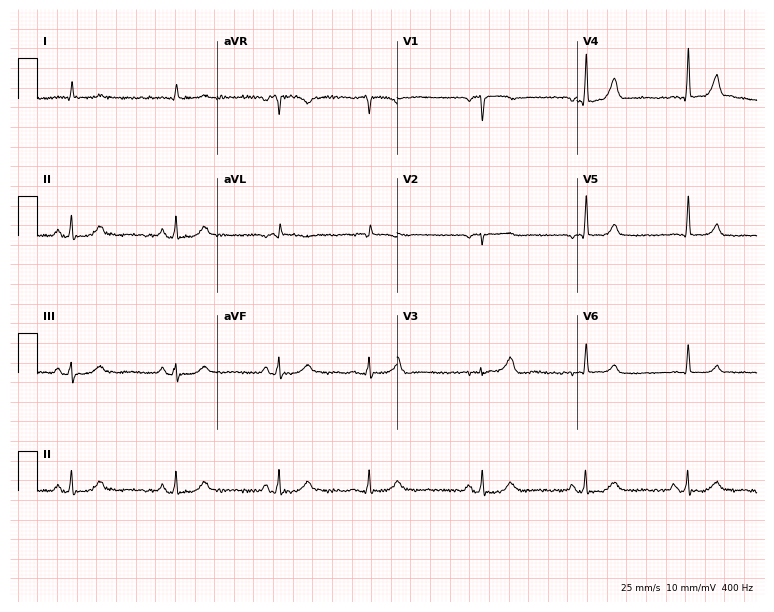
Resting 12-lead electrocardiogram. Patient: an 83-year-old male. None of these six findings is recorded: first-degree AV block, right bundle branch block, left bundle branch block, sinus bradycardia, atrial fibrillation, sinus tachycardia. Only these six findings were labelled.